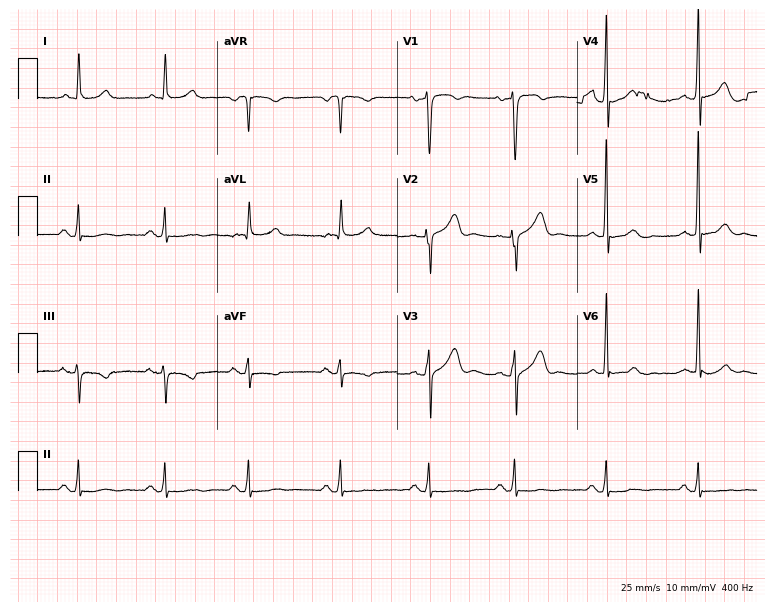
Standard 12-lead ECG recorded from a female, 64 years old (7.3-second recording at 400 Hz). None of these six findings is recorded: first-degree AV block, right bundle branch block, left bundle branch block, sinus bradycardia, atrial fibrillation, sinus tachycardia. Other findings, if any, are not listed.